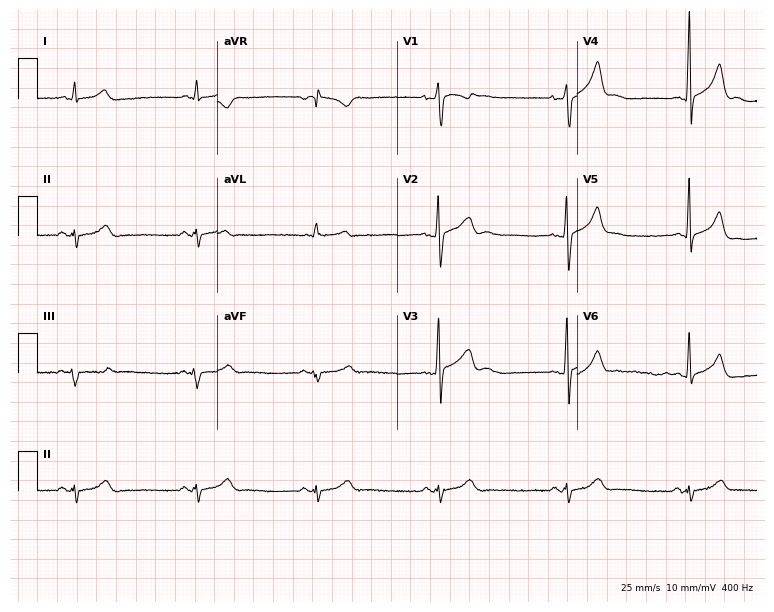
Electrocardiogram, a 35-year-old male. Interpretation includes sinus bradycardia (a sinus rate of 50 beats per minute or less).